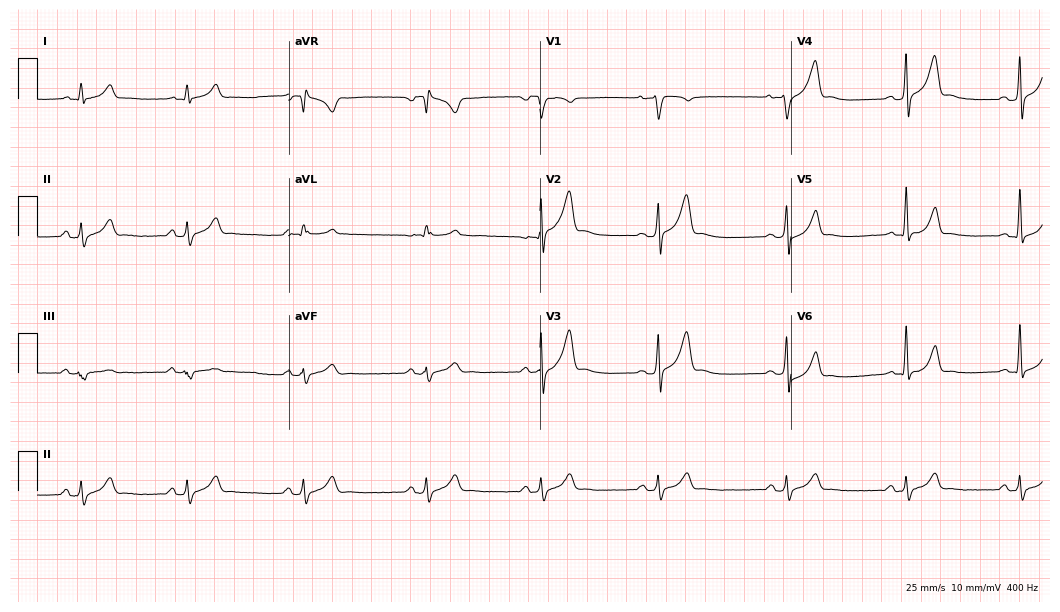
12-lead ECG from a man, 32 years old. Labelled as a normal ECG.